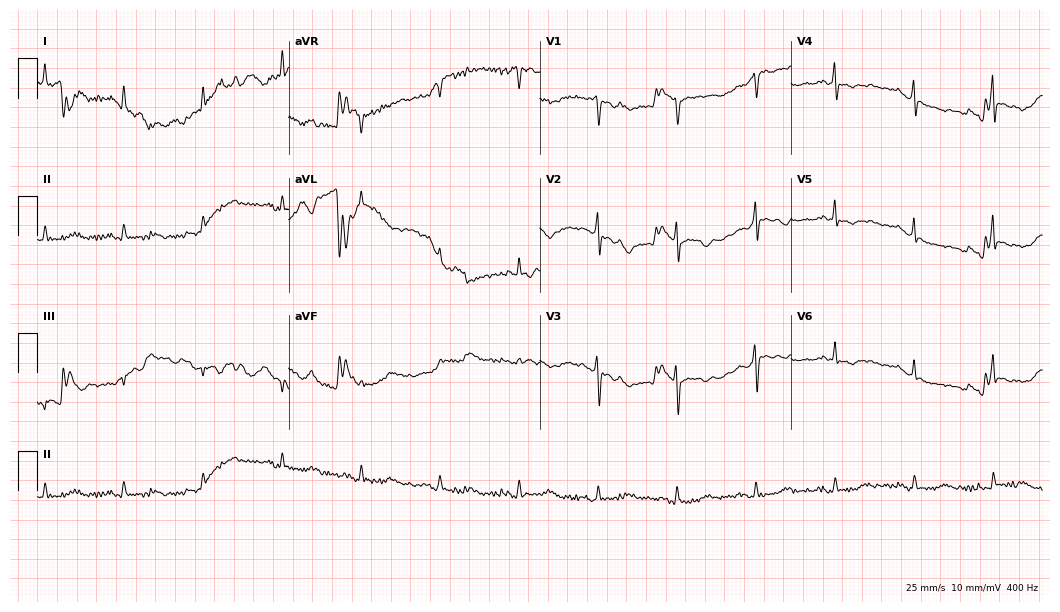
Electrocardiogram (10.2-second recording at 400 Hz), a woman, 76 years old. Overall reading on record: normal ECG.